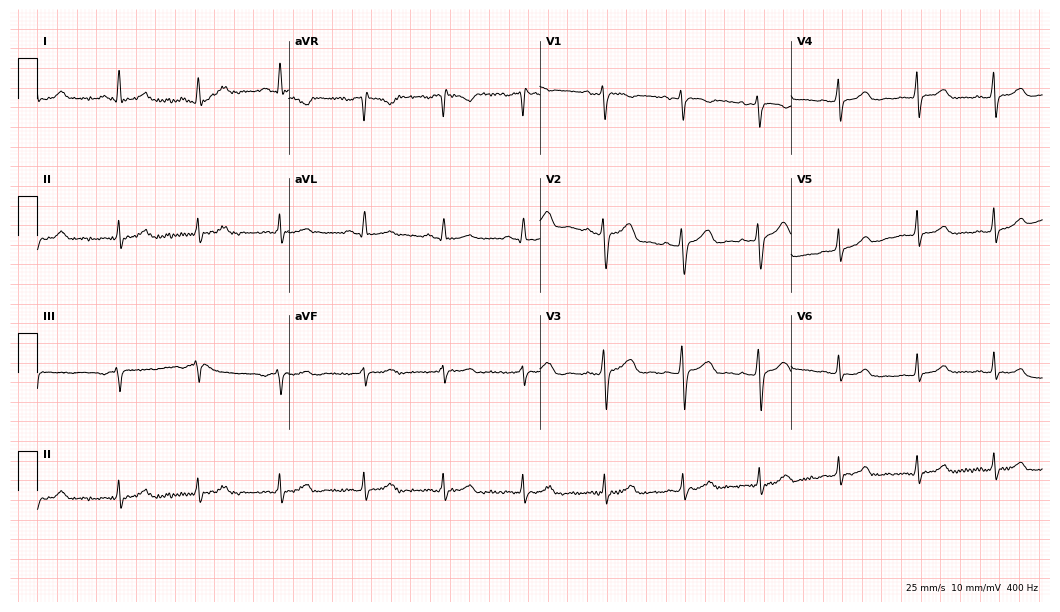
Resting 12-lead electrocardiogram (10.2-second recording at 400 Hz). Patient: a female, 40 years old. Read as a normal ECG.